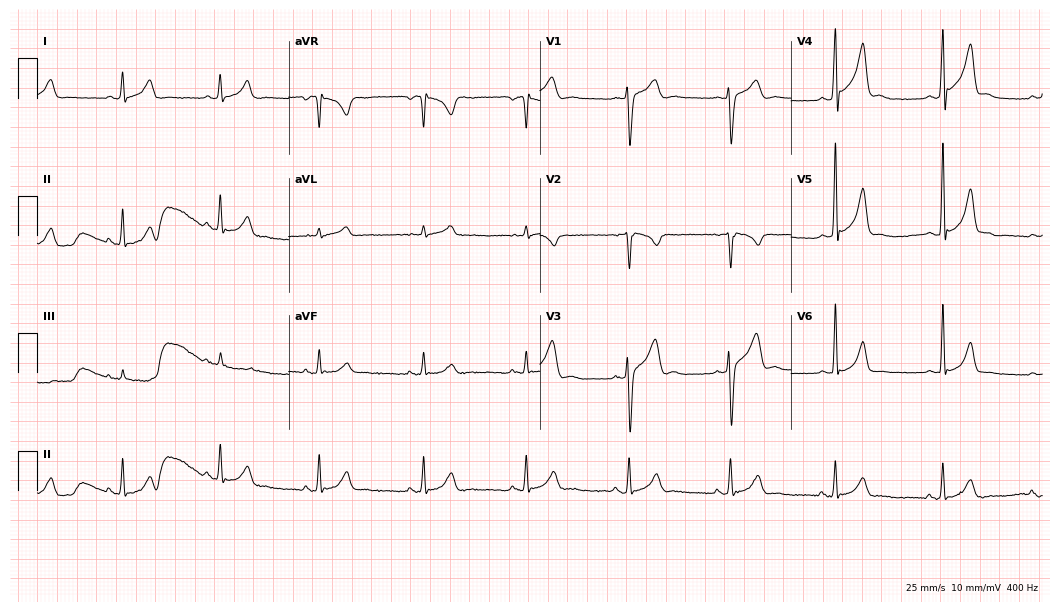
Resting 12-lead electrocardiogram. Patient: a 20-year-old male. Read as a normal ECG.